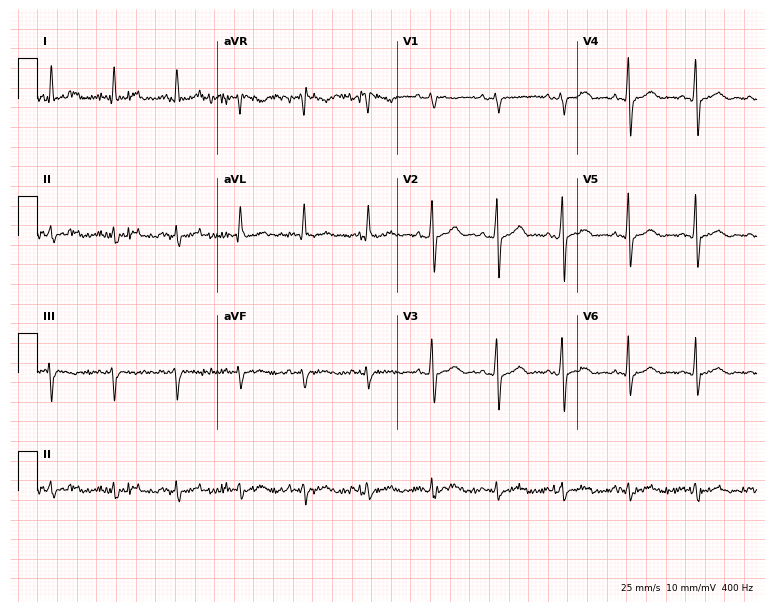
12-lead ECG (7.3-second recording at 400 Hz) from a male, 61 years old. Screened for six findings — first-degree AV block, right bundle branch block (RBBB), left bundle branch block (LBBB), sinus bradycardia, atrial fibrillation (AF), sinus tachycardia — none is recorded. Findings outside these six are not listed.